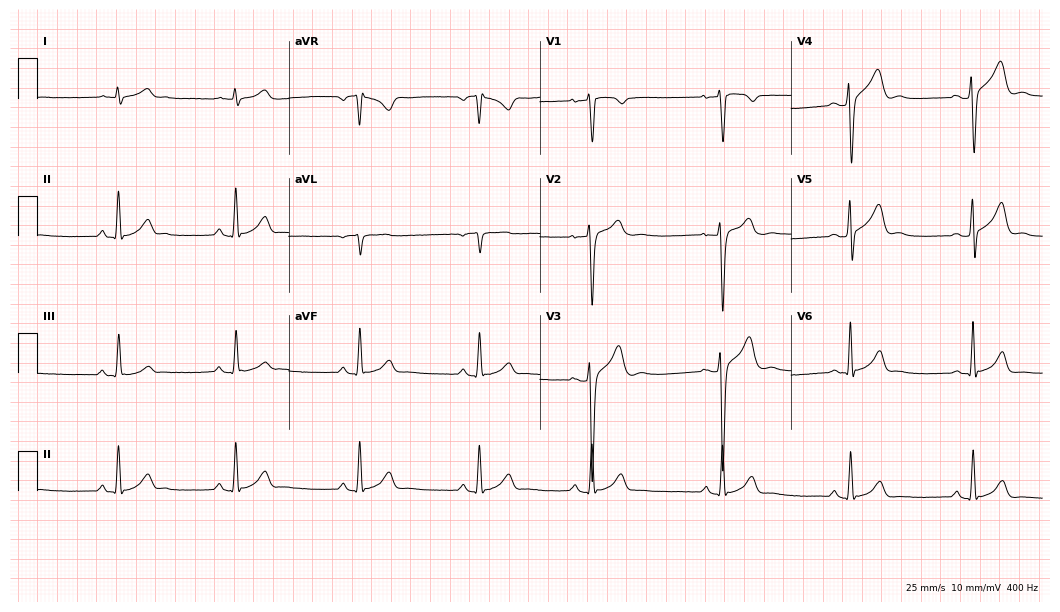
ECG (10.2-second recording at 400 Hz) — a 27-year-old male patient. Findings include sinus bradycardia (a sinus rate of 50 beats per minute or less).